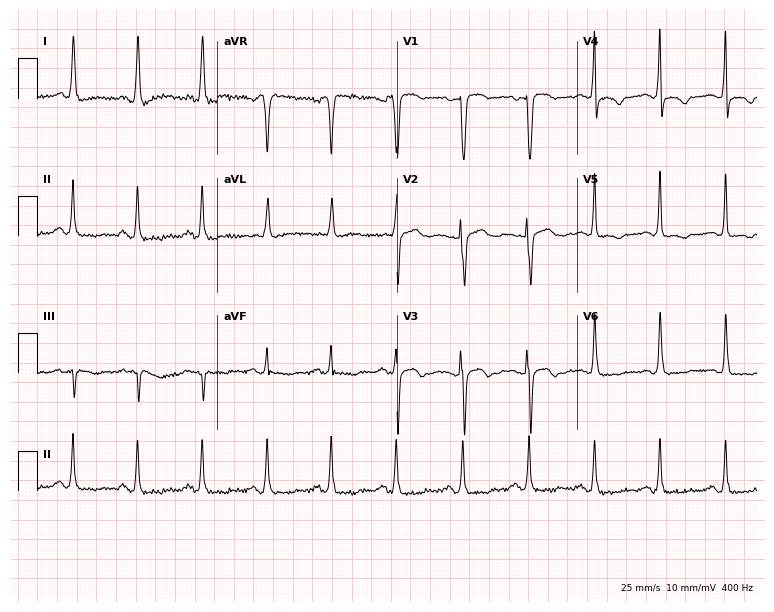
ECG (7.3-second recording at 400 Hz) — a 65-year-old female. Screened for six findings — first-degree AV block, right bundle branch block, left bundle branch block, sinus bradycardia, atrial fibrillation, sinus tachycardia — none is recorded.